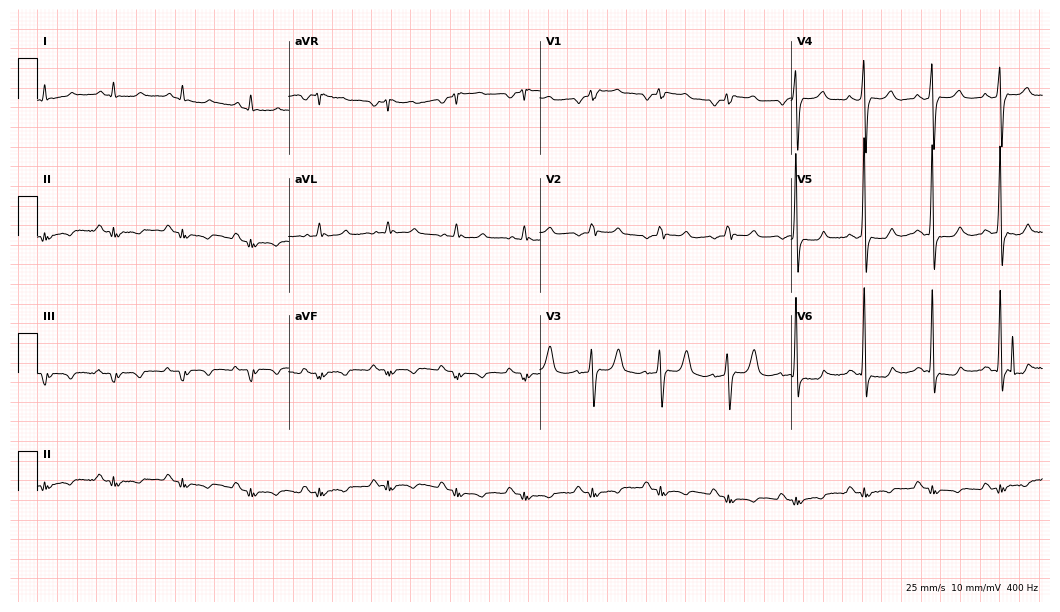
Electrocardiogram (10.2-second recording at 400 Hz), a male patient, 82 years old. Of the six screened findings (first-degree AV block, right bundle branch block, left bundle branch block, sinus bradycardia, atrial fibrillation, sinus tachycardia), none is recorded. Other findings, if any, are not listed.